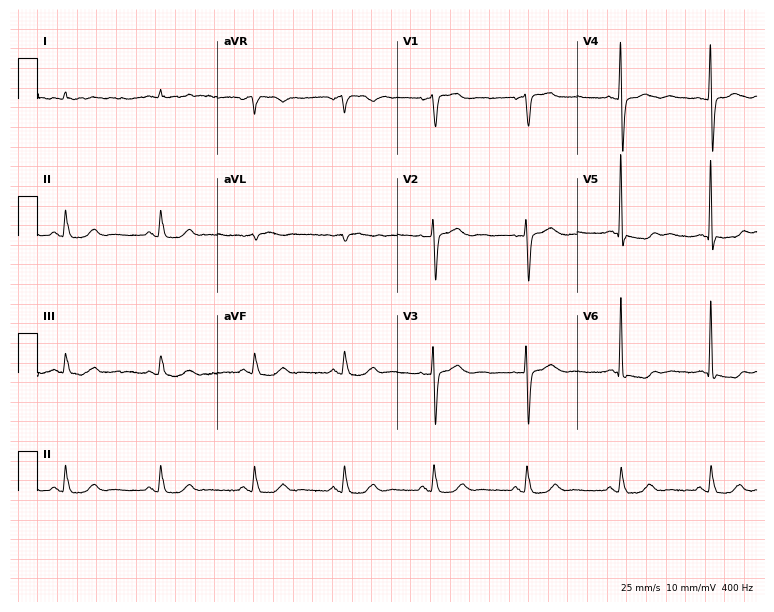
ECG — a 73-year-old woman. Screened for six findings — first-degree AV block, right bundle branch block, left bundle branch block, sinus bradycardia, atrial fibrillation, sinus tachycardia — none is recorded.